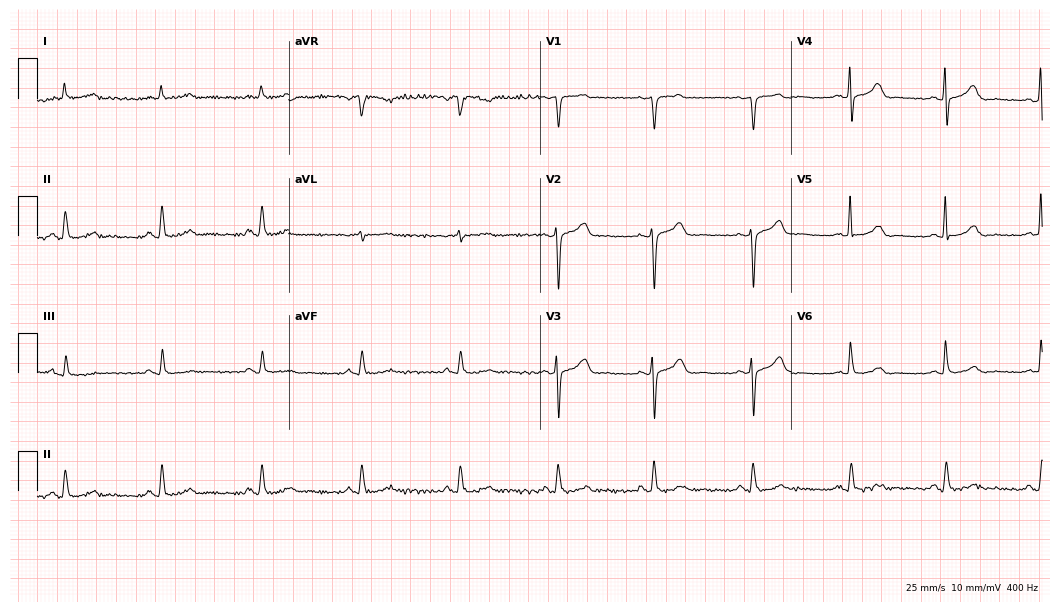
12-lead ECG from a male, 83 years old. Labelled as a normal ECG.